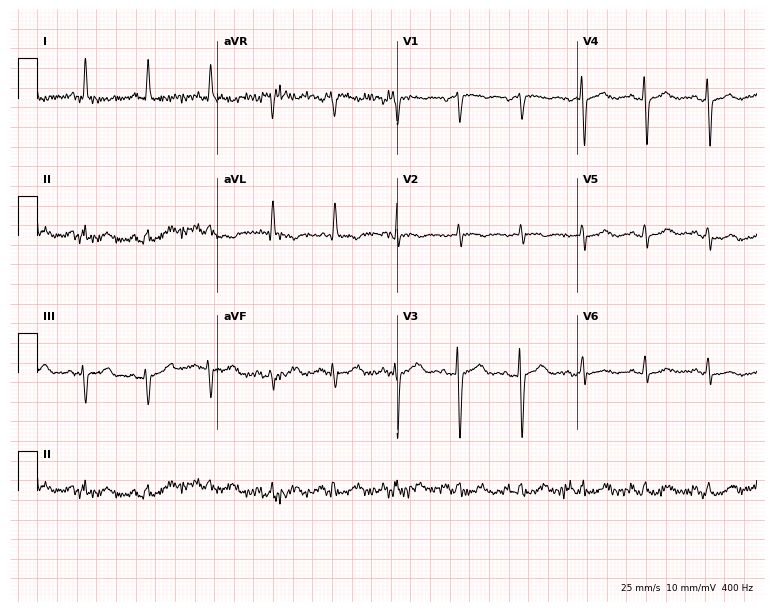
12-lead ECG from a 70-year-old woman. Screened for six findings — first-degree AV block, right bundle branch block (RBBB), left bundle branch block (LBBB), sinus bradycardia, atrial fibrillation (AF), sinus tachycardia — none is recorded.